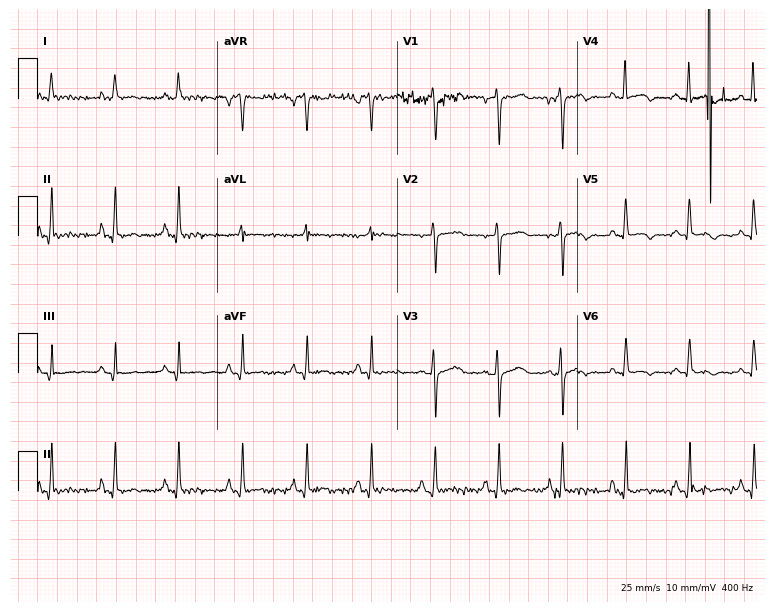
12-lead ECG (7.3-second recording at 400 Hz) from a female patient, 74 years old. Screened for six findings — first-degree AV block, right bundle branch block, left bundle branch block, sinus bradycardia, atrial fibrillation, sinus tachycardia — none is recorded.